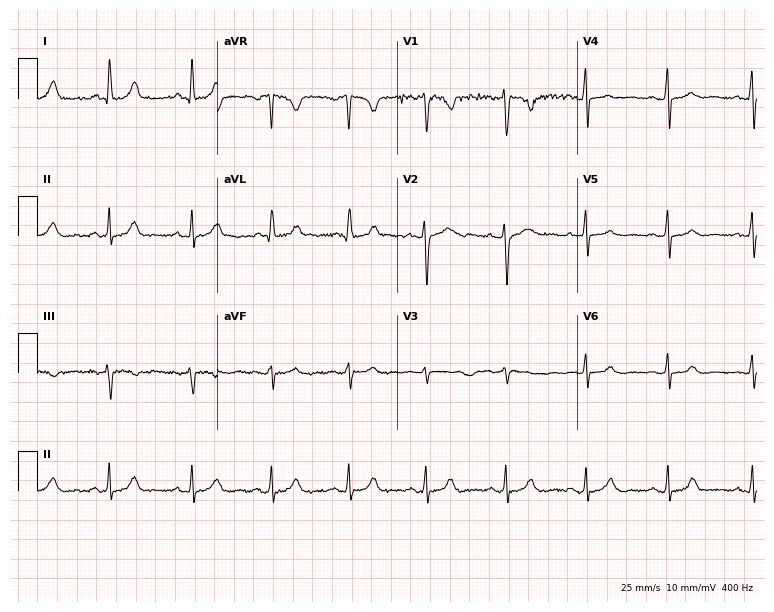
ECG (7.3-second recording at 400 Hz) — a female patient, 39 years old. Screened for six findings — first-degree AV block, right bundle branch block, left bundle branch block, sinus bradycardia, atrial fibrillation, sinus tachycardia — none is recorded. Findings outside these six are not listed.